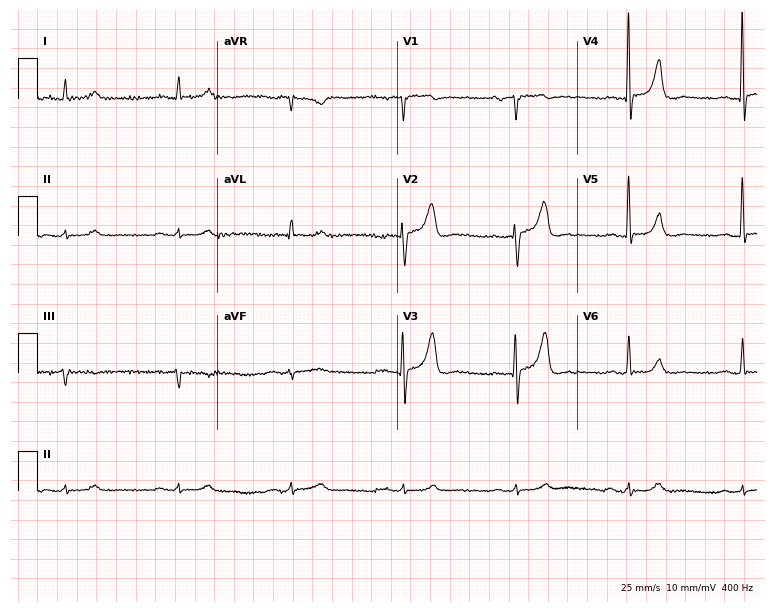
12-lead ECG from a 74-year-old male (7.3-second recording at 400 Hz). Recorded interpretation: within normal limits.